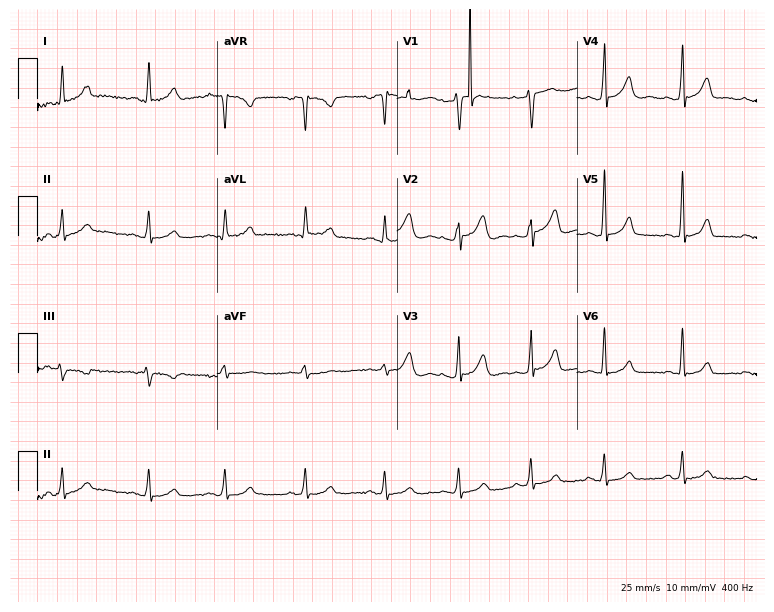
Standard 12-lead ECG recorded from a woman, 22 years old (7.3-second recording at 400 Hz). None of these six findings is recorded: first-degree AV block, right bundle branch block, left bundle branch block, sinus bradycardia, atrial fibrillation, sinus tachycardia.